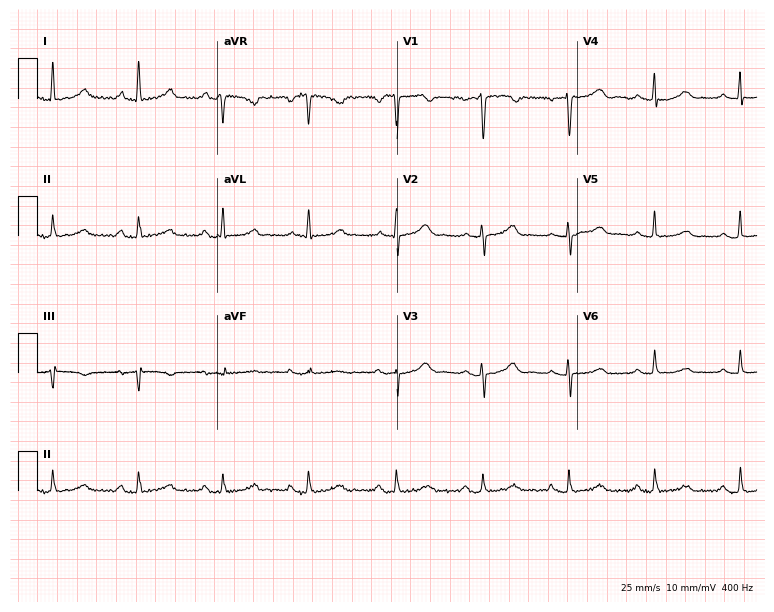
Resting 12-lead electrocardiogram. Patient: a female, 59 years old. None of these six findings is recorded: first-degree AV block, right bundle branch block (RBBB), left bundle branch block (LBBB), sinus bradycardia, atrial fibrillation (AF), sinus tachycardia. Only these six findings were labelled.